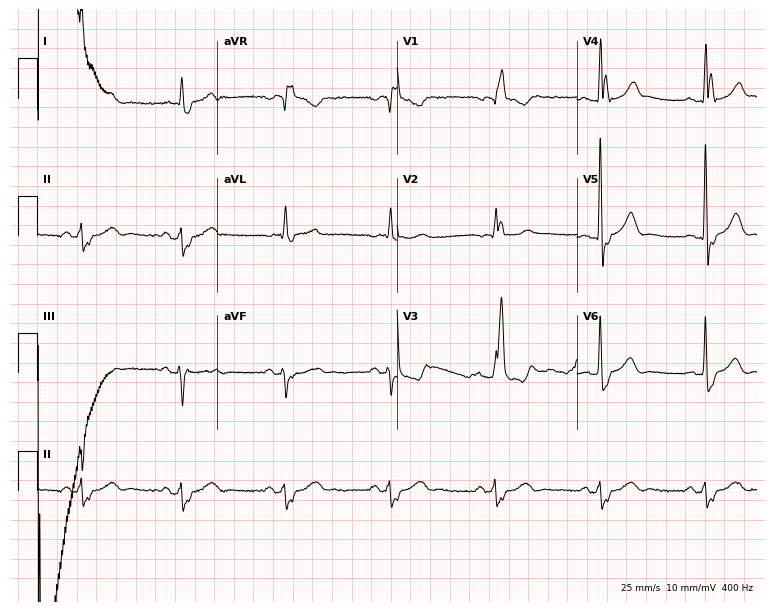
Standard 12-lead ECG recorded from a 72-year-old male. The tracing shows right bundle branch block (RBBB).